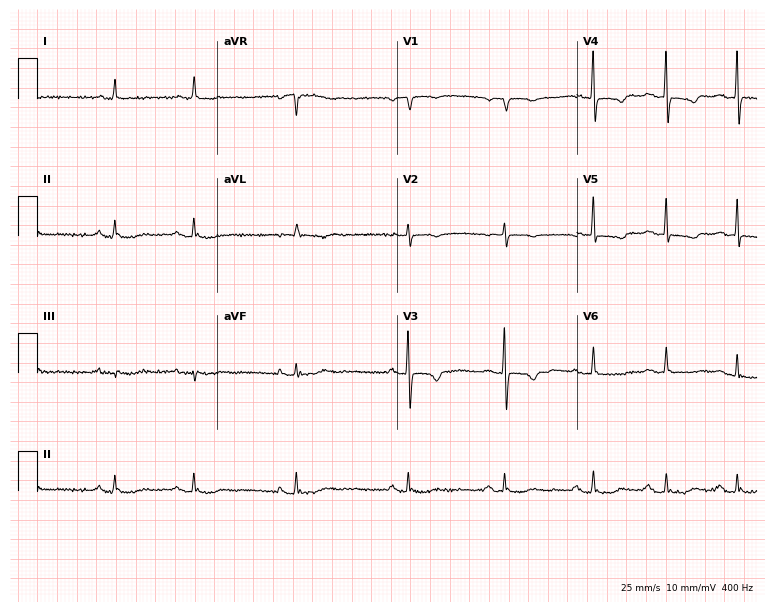
ECG (7.3-second recording at 400 Hz) — a woman, 75 years old. Findings include first-degree AV block.